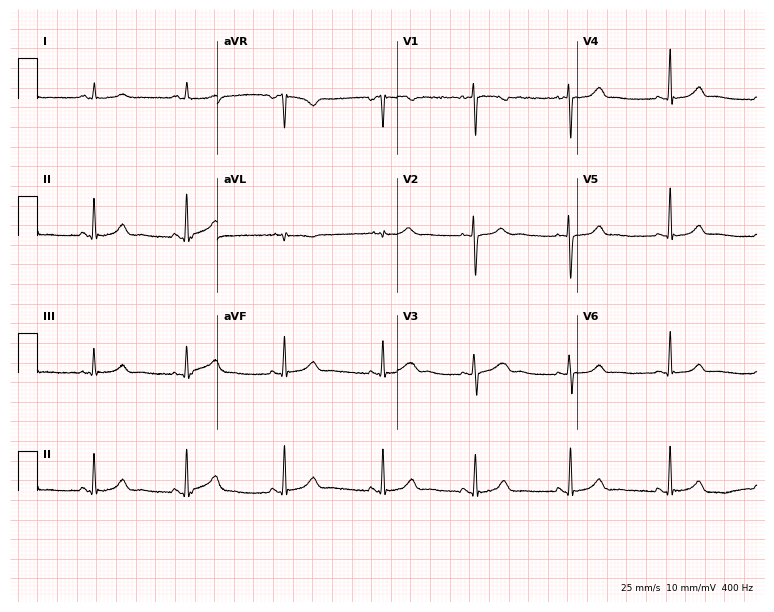
Resting 12-lead electrocardiogram. Patient: a 20-year-old female. None of these six findings is recorded: first-degree AV block, right bundle branch block, left bundle branch block, sinus bradycardia, atrial fibrillation, sinus tachycardia.